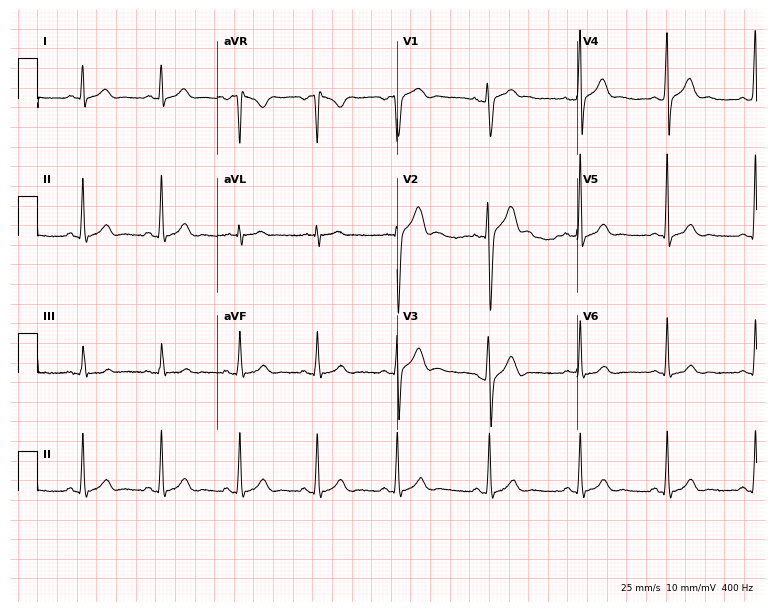
12-lead ECG from a man, 30 years old. No first-degree AV block, right bundle branch block, left bundle branch block, sinus bradycardia, atrial fibrillation or sinus tachycardia recorded for this tracing.